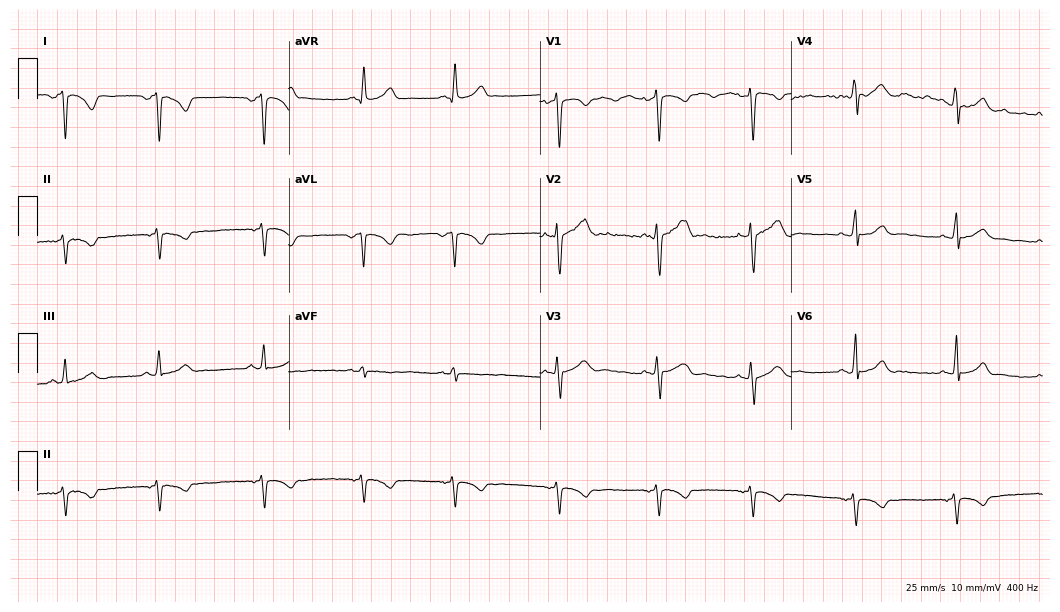
ECG — a 24-year-old female. Screened for six findings — first-degree AV block, right bundle branch block (RBBB), left bundle branch block (LBBB), sinus bradycardia, atrial fibrillation (AF), sinus tachycardia — none is recorded.